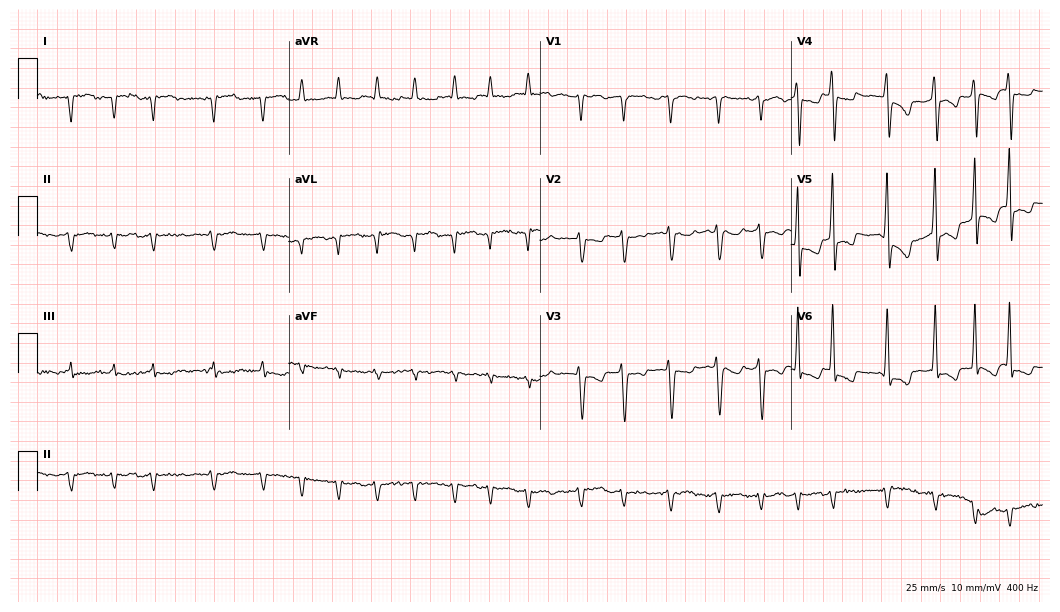
12-lead ECG (10.2-second recording at 400 Hz) from an 80-year-old male patient. Findings include atrial fibrillation (AF).